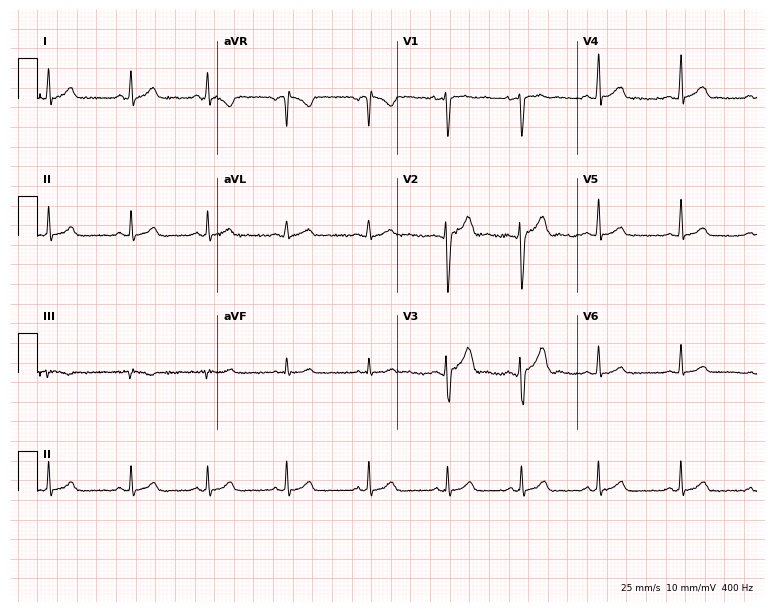
Electrocardiogram, a man, 21 years old. Overall reading on record: normal ECG.